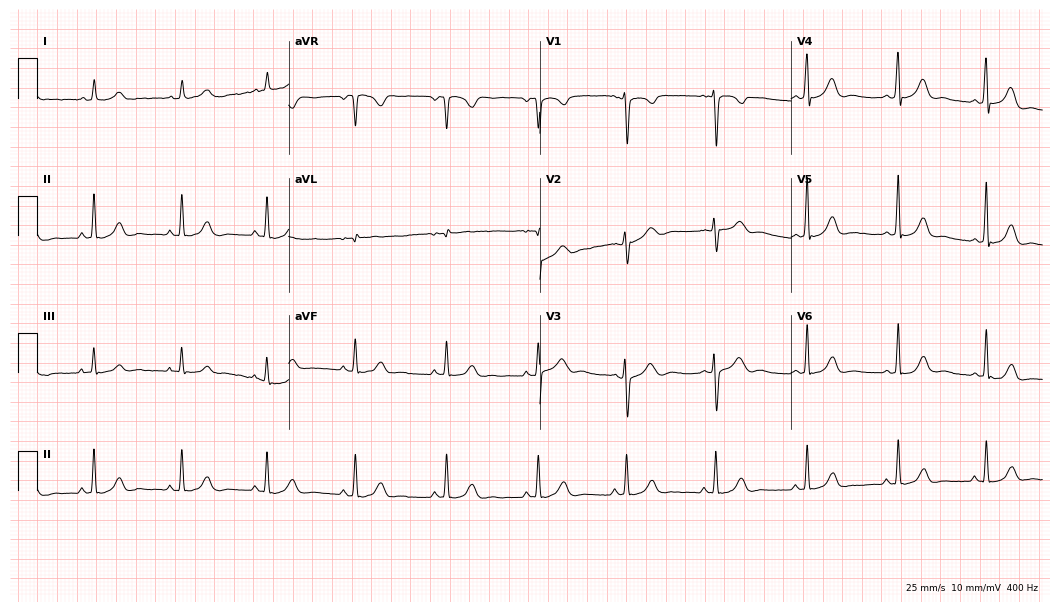
12-lead ECG (10.2-second recording at 400 Hz) from a woman, 33 years old. Labelled as a normal ECG.